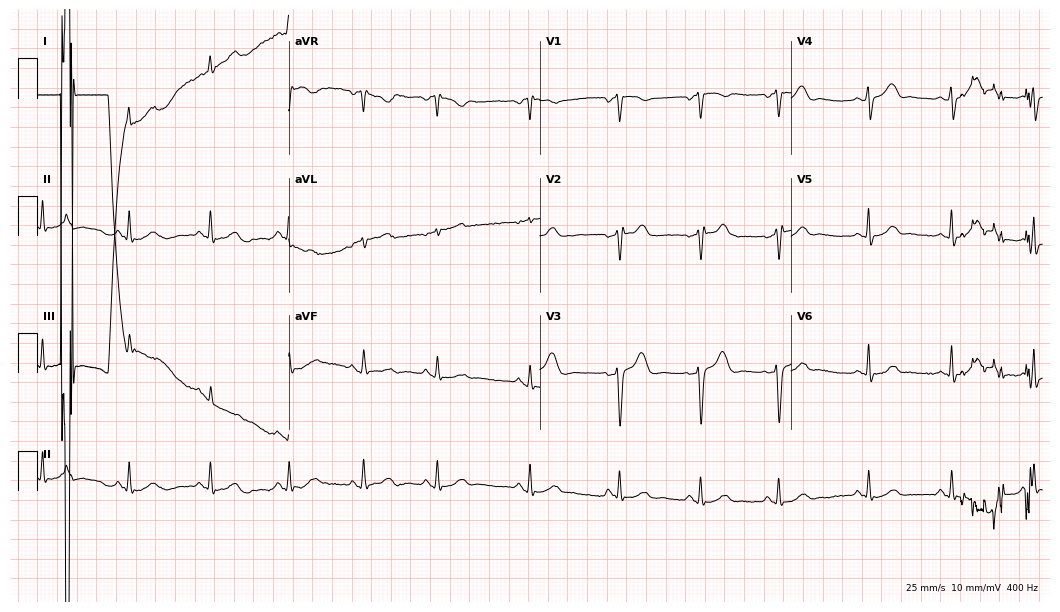
ECG (10.2-second recording at 400 Hz) — a woman, 31 years old. Screened for six findings — first-degree AV block, right bundle branch block, left bundle branch block, sinus bradycardia, atrial fibrillation, sinus tachycardia — none is recorded.